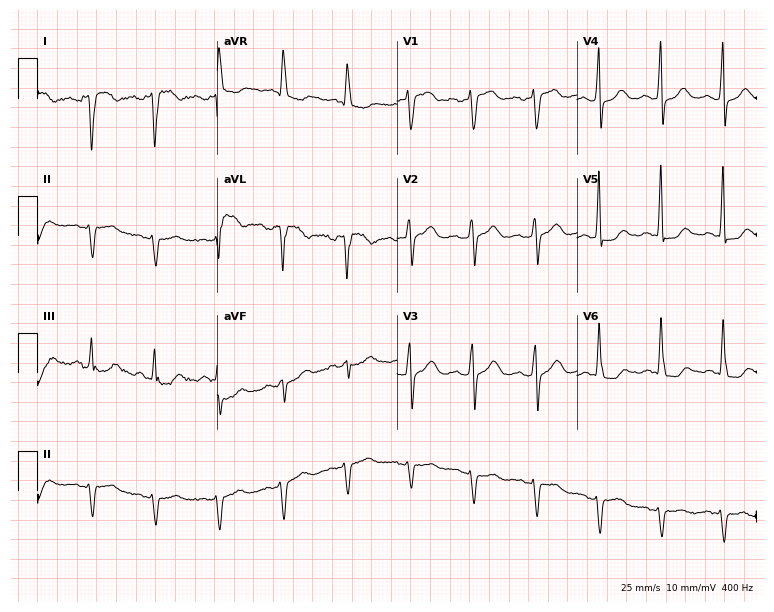
Standard 12-lead ECG recorded from a 59-year-old female (7.3-second recording at 400 Hz). None of these six findings is recorded: first-degree AV block, right bundle branch block, left bundle branch block, sinus bradycardia, atrial fibrillation, sinus tachycardia.